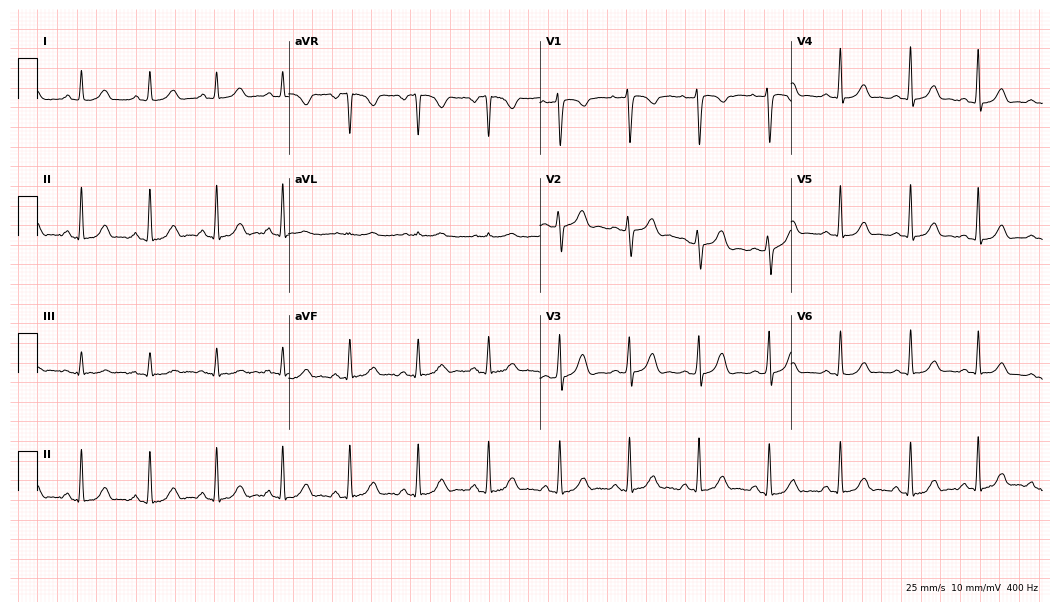
ECG — a female, 24 years old. Labelled as a normal ECG.